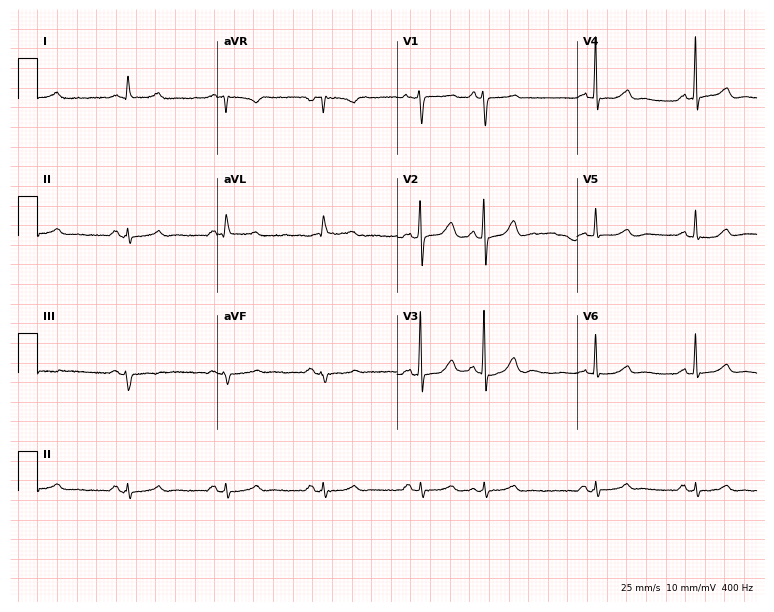
12-lead ECG from a male patient, 69 years old. No first-degree AV block, right bundle branch block, left bundle branch block, sinus bradycardia, atrial fibrillation or sinus tachycardia recorded for this tracing. Other findings, if any, are not listed.